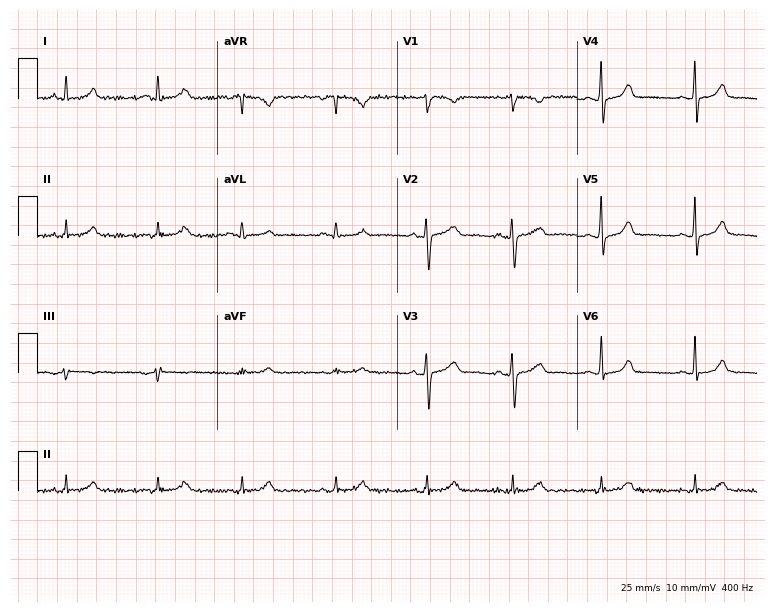
Electrocardiogram, a 46-year-old woman. Overall reading on record: normal ECG.